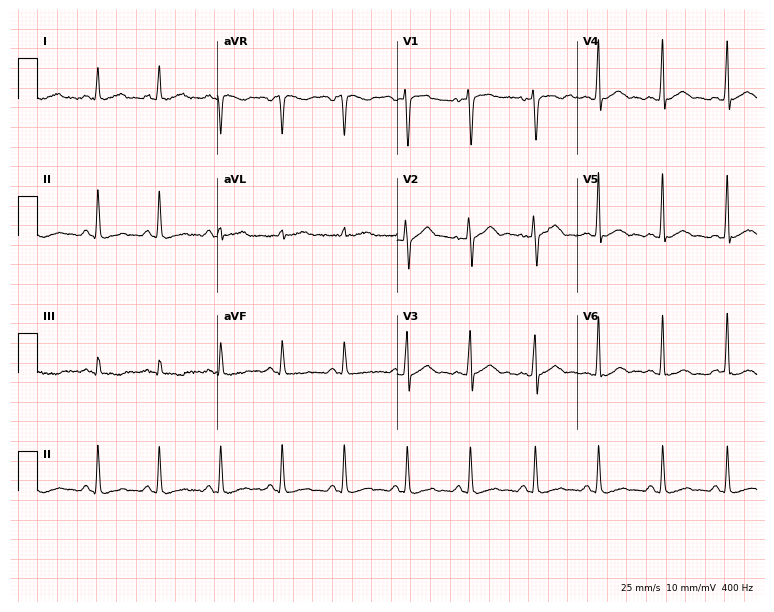
12-lead ECG (7.3-second recording at 400 Hz) from a 47-year-old man. Labelled as a normal ECG.